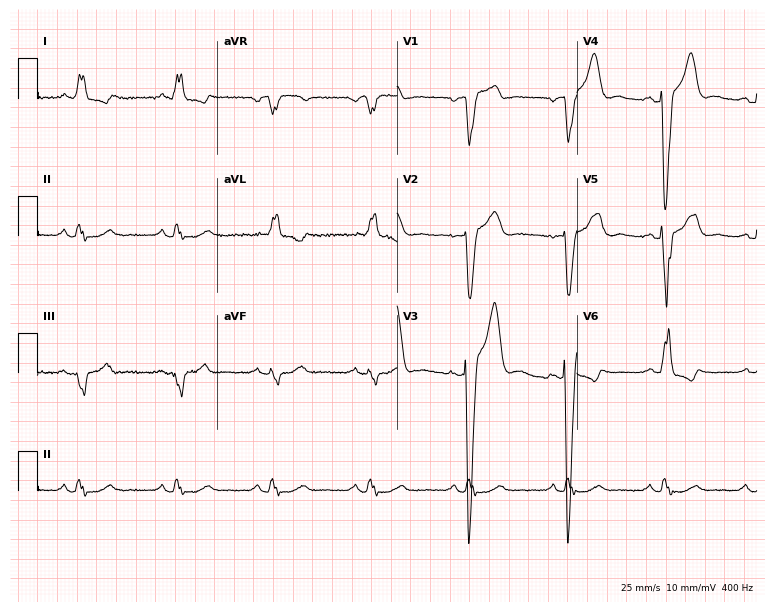
12-lead ECG (7.3-second recording at 400 Hz) from a male, 65 years old. Findings include left bundle branch block.